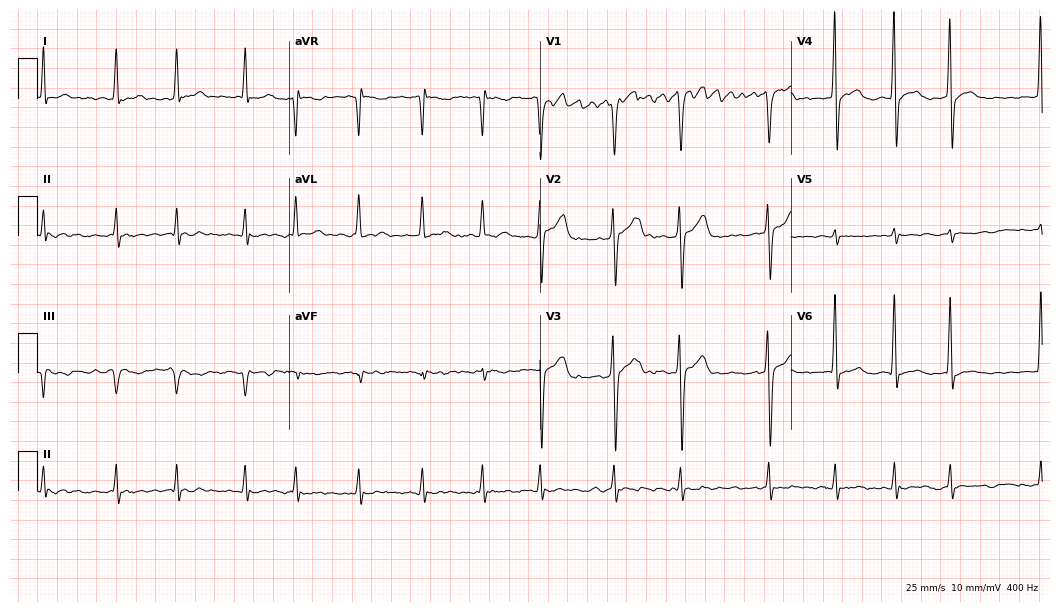
Electrocardiogram, a 46-year-old male. Interpretation includes atrial fibrillation (AF).